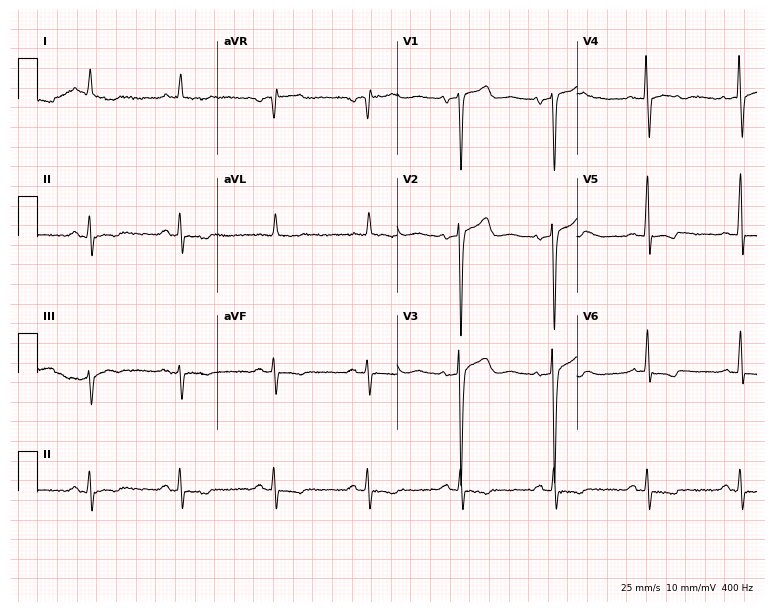
Resting 12-lead electrocardiogram (7.3-second recording at 400 Hz). Patient: a man, 76 years old. None of these six findings is recorded: first-degree AV block, right bundle branch block, left bundle branch block, sinus bradycardia, atrial fibrillation, sinus tachycardia. Only these six findings were labelled.